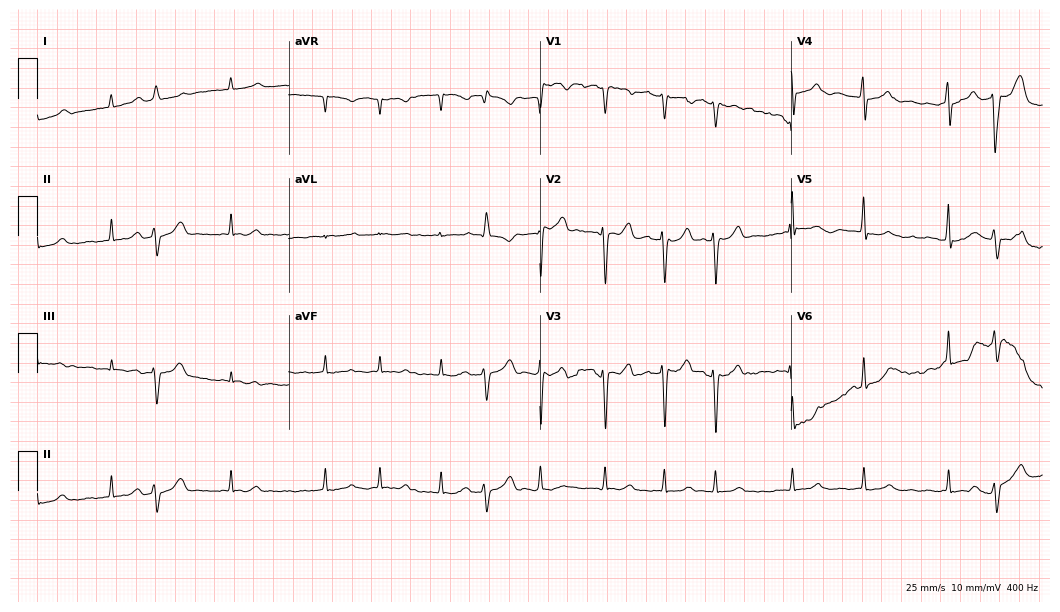
12-lead ECG (10.2-second recording at 400 Hz) from a man, 79 years old. Findings include atrial fibrillation.